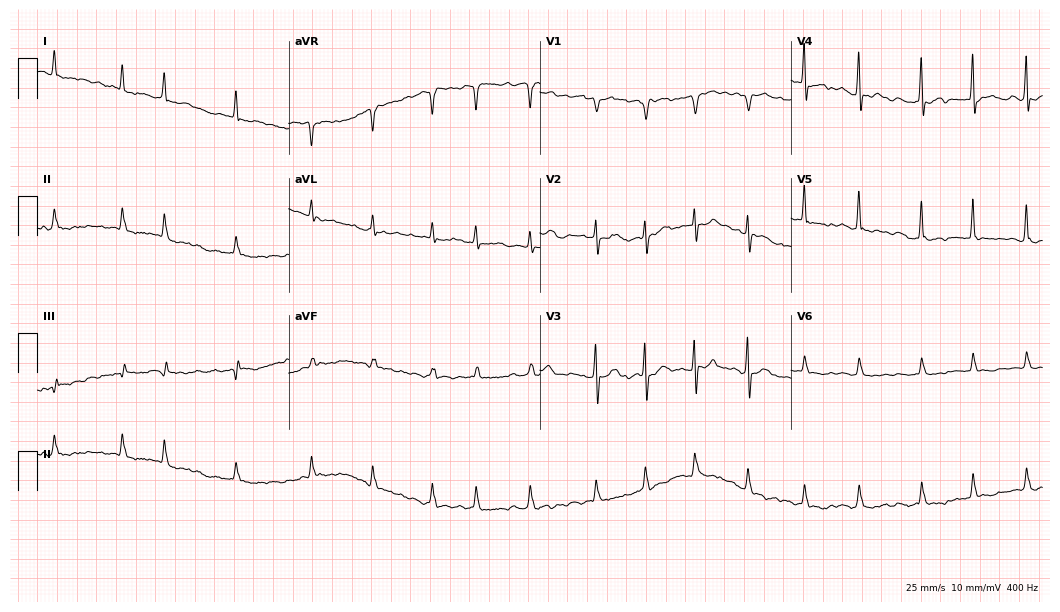
Electrocardiogram, a 70-year-old female. Interpretation includes atrial fibrillation (AF).